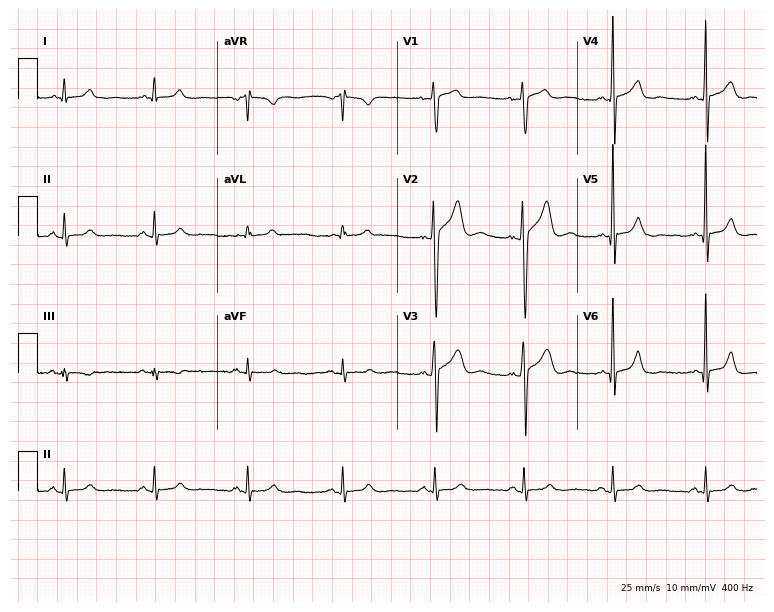
Standard 12-lead ECG recorded from a man, 32 years old. None of these six findings is recorded: first-degree AV block, right bundle branch block (RBBB), left bundle branch block (LBBB), sinus bradycardia, atrial fibrillation (AF), sinus tachycardia.